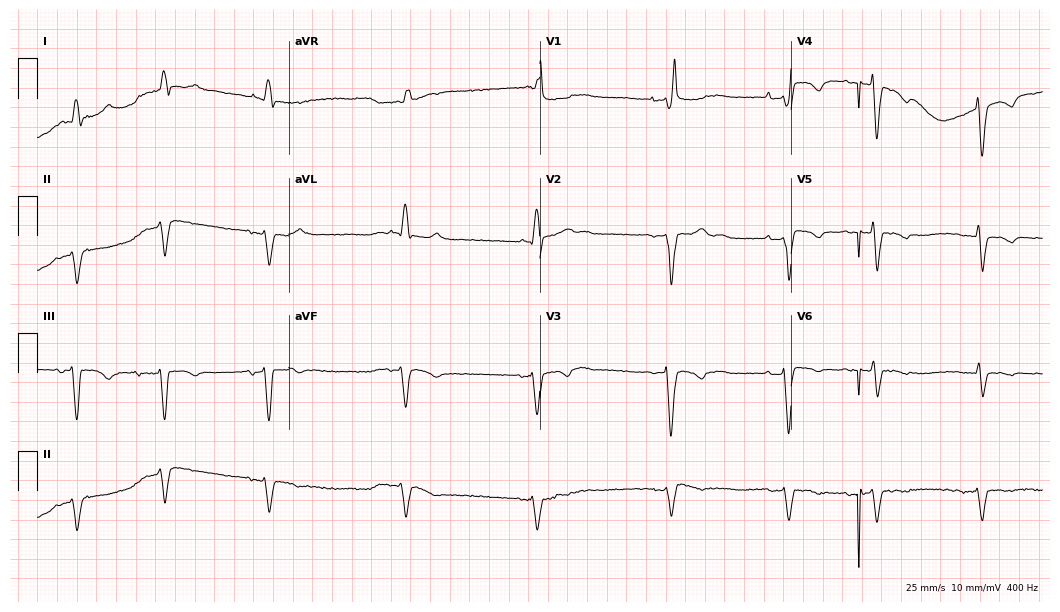
Standard 12-lead ECG recorded from a male patient, 82 years old. The tracing shows right bundle branch block.